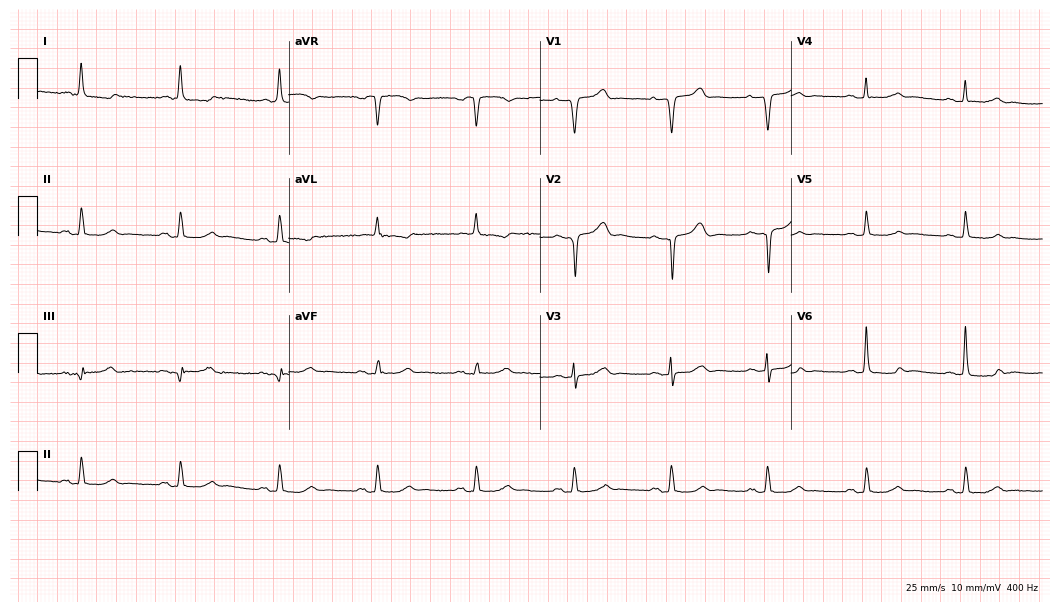
Electrocardiogram (10.2-second recording at 400 Hz), a 79-year-old male patient. Of the six screened findings (first-degree AV block, right bundle branch block, left bundle branch block, sinus bradycardia, atrial fibrillation, sinus tachycardia), none is recorded. Findings outside these six are not listed.